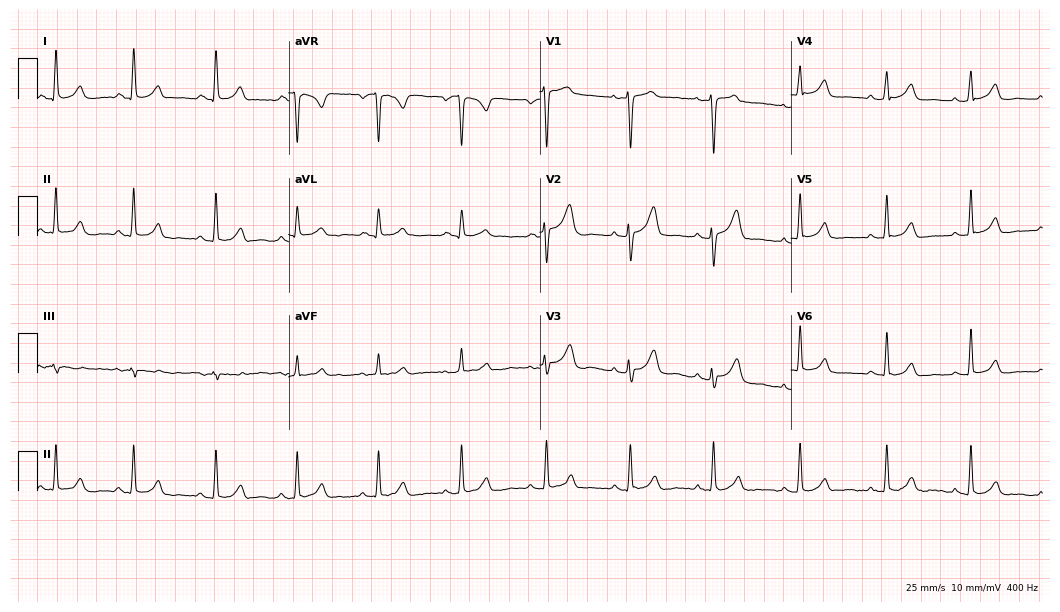
12-lead ECG from a 49-year-old female (10.2-second recording at 400 Hz). No first-degree AV block, right bundle branch block (RBBB), left bundle branch block (LBBB), sinus bradycardia, atrial fibrillation (AF) or sinus tachycardia recorded for this tracing.